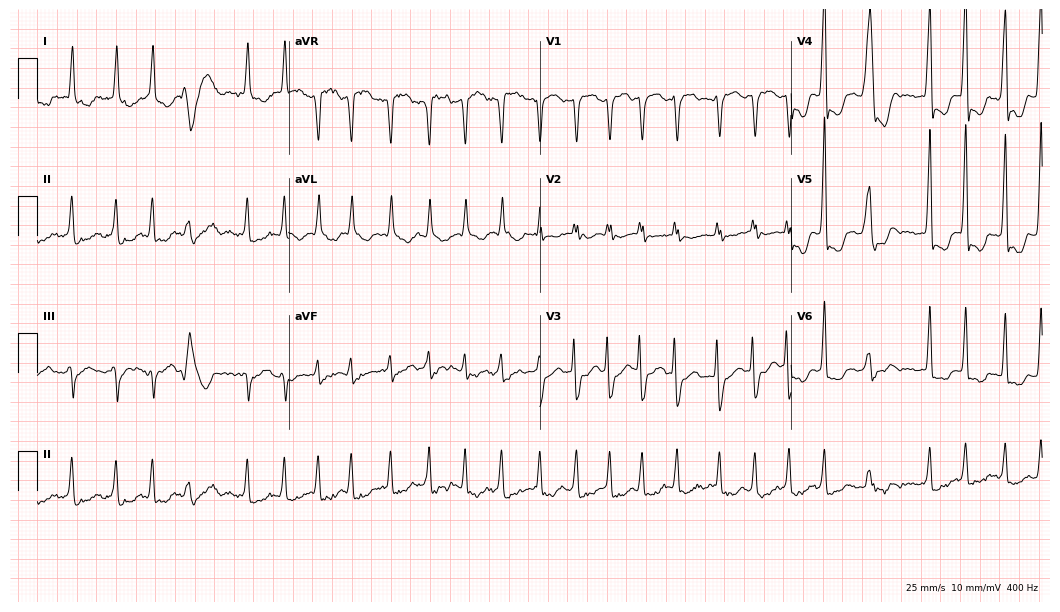
Resting 12-lead electrocardiogram (10.2-second recording at 400 Hz). Patient: a female, 74 years old. The tracing shows atrial fibrillation.